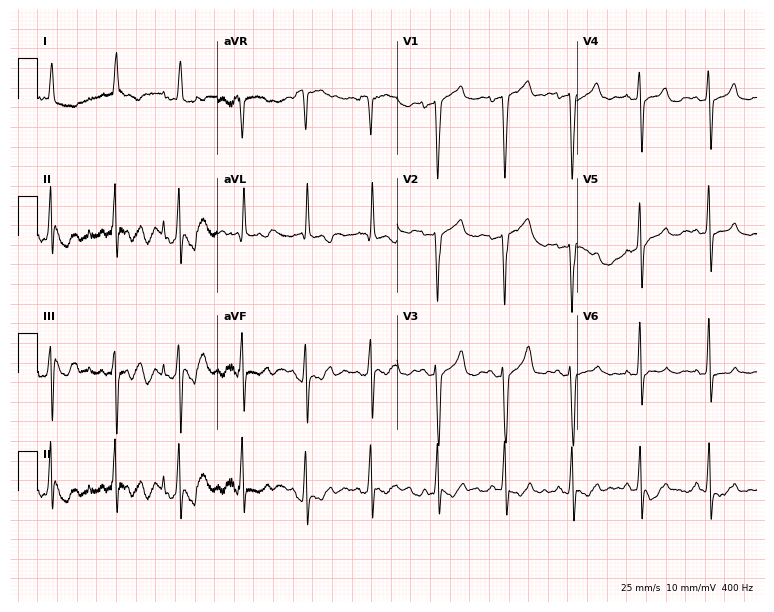
12-lead ECG from a woman, 70 years old (7.3-second recording at 400 Hz). No first-degree AV block, right bundle branch block, left bundle branch block, sinus bradycardia, atrial fibrillation or sinus tachycardia recorded for this tracing.